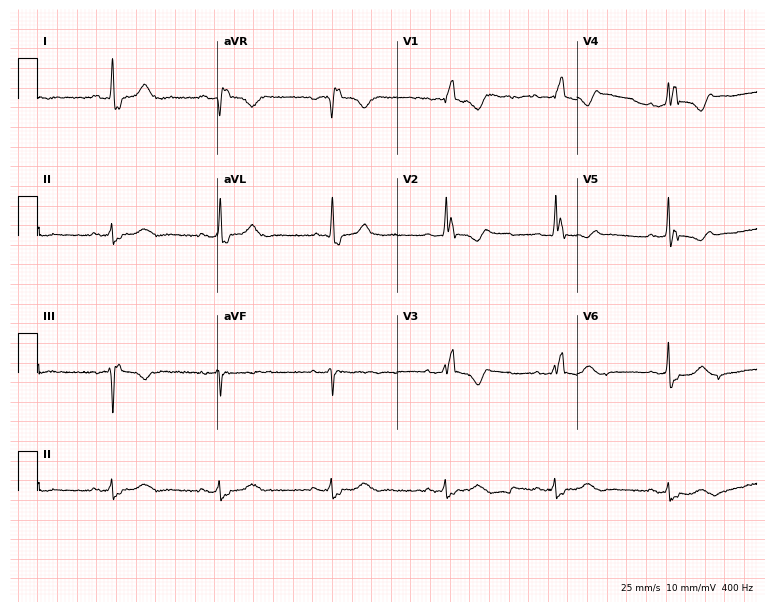
Standard 12-lead ECG recorded from a 72-year-old female patient (7.3-second recording at 400 Hz). The tracing shows right bundle branch block.